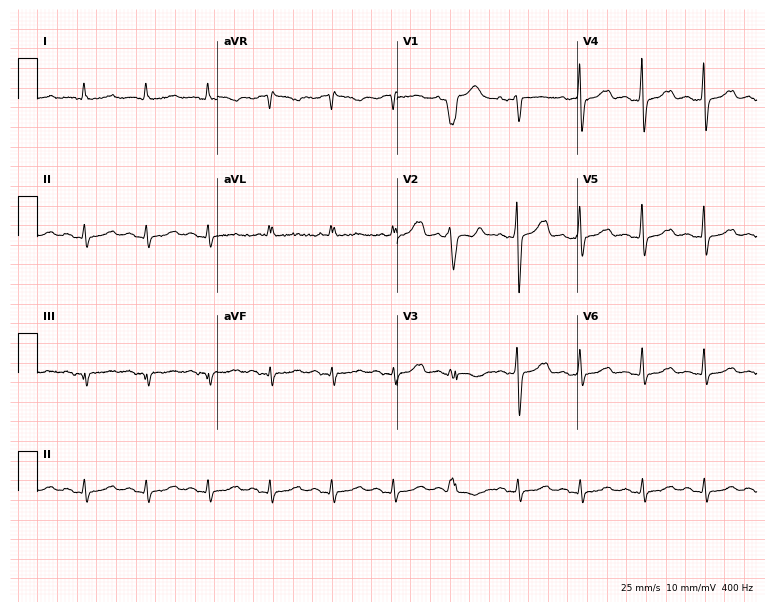
Standard 12-lead ECG recorded from a 75-year-old female patient (7.3-second recording at 400 Hz). None of these six findings is recorded: first-degree AV block, right bundle branch block, left bundle branch block, sinus bradycardia, atrial fibrillation, sinus tachycardia. Other findings, if any, are not listed.